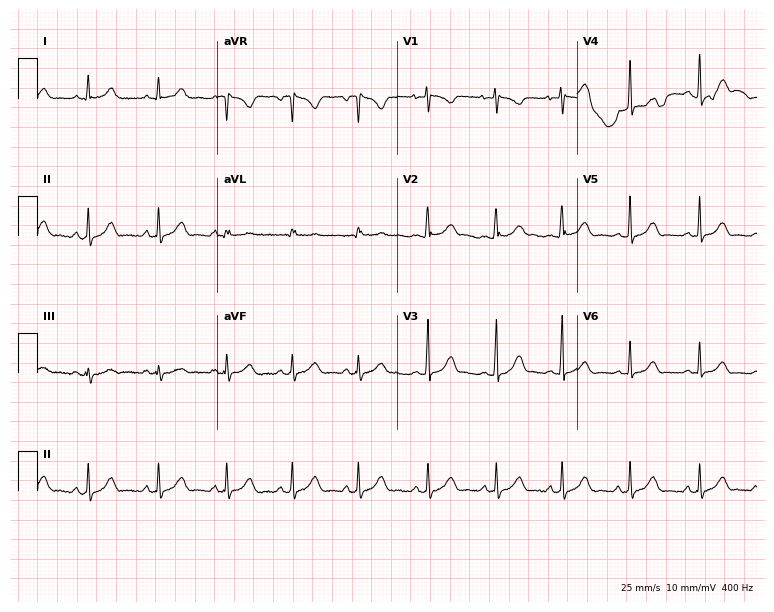
Electrocardiogram (7.3-second recording at 400 Hz), a woman, 24 years old. Of the six screened findings (first-degree AV block, right bundle branch block, left bundle branch block, sinus bradycardia, atrial fibrillation, sinus tachycardia), none is recorded.